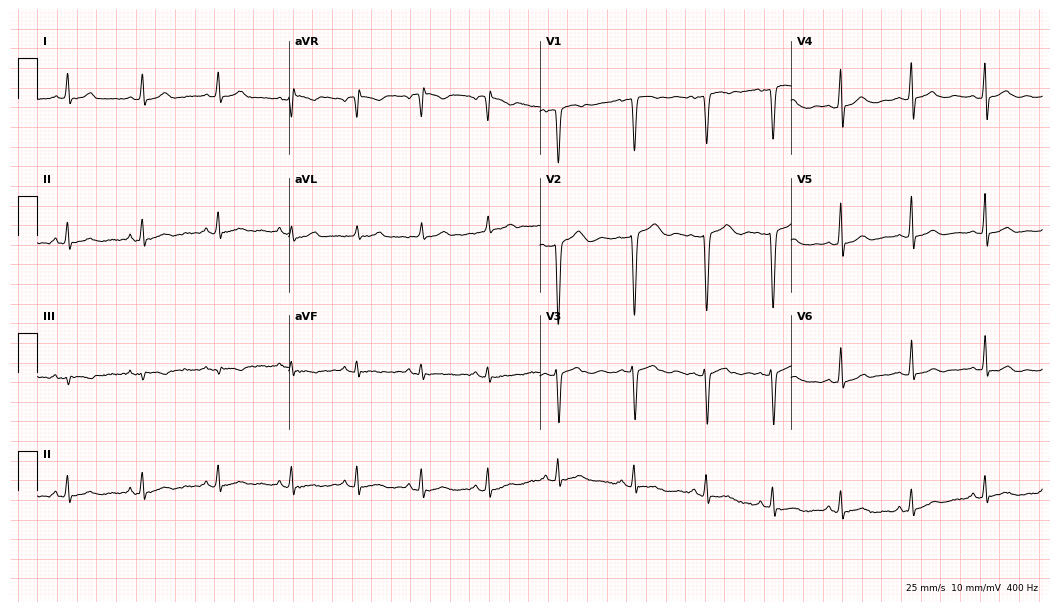
12-lead ECG from a female patient, 21 years old. Labelled as a normal ECG.